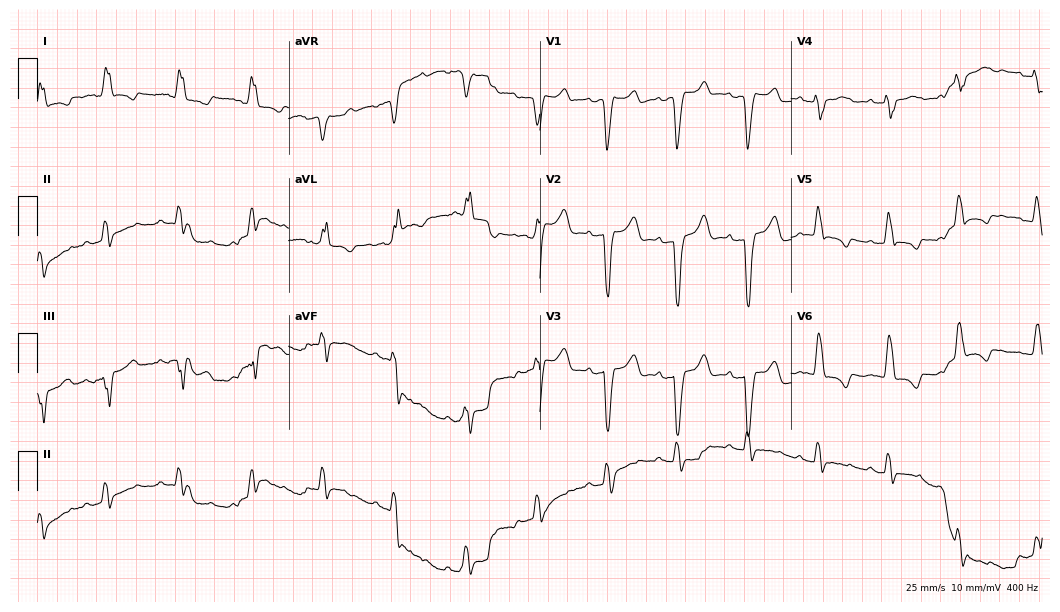
ECG (10.2-second recording at 400 Hz) — a woman, 74 years old. Findings include left bundle branch block.